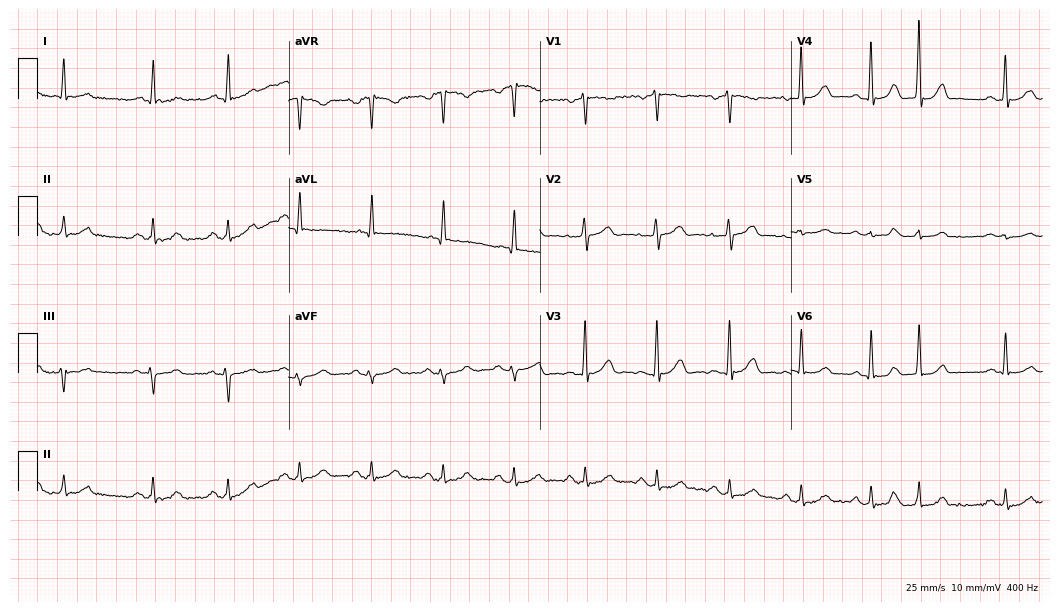
Resting 12-lead electrocardiogram. Patient: a woman, 60 years old. Read as a normal ECG.